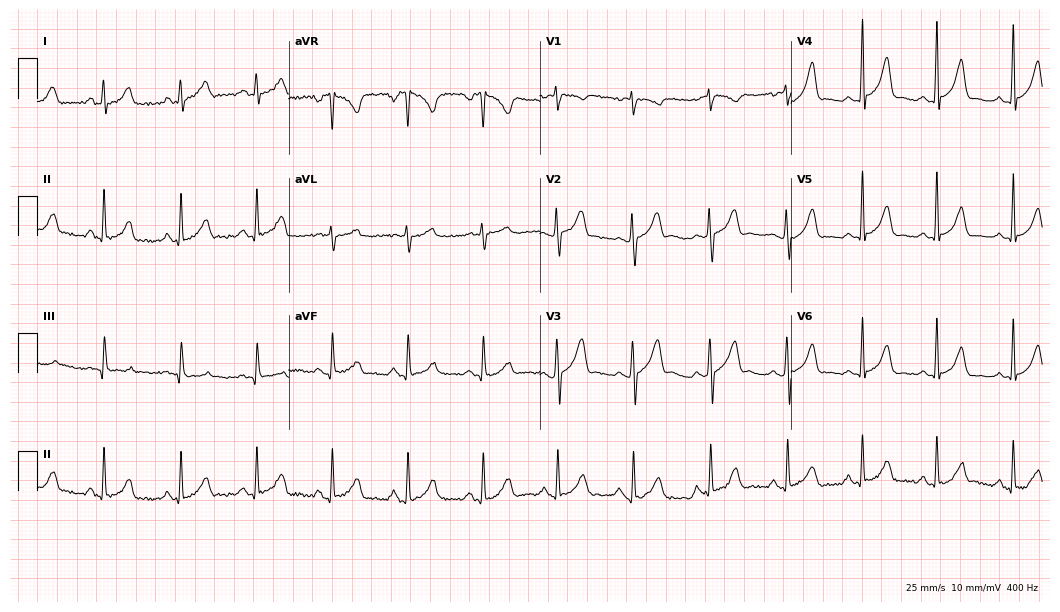
12-lead ECG from a 27-year-old female patient. Screened for six findings — first-degree AV block, right bundle branch block, left bundle branch block, sinus bradycardia, atrial fibrillation, sinus tachycardia — none is recorded. Other findings, if any, are not listed.